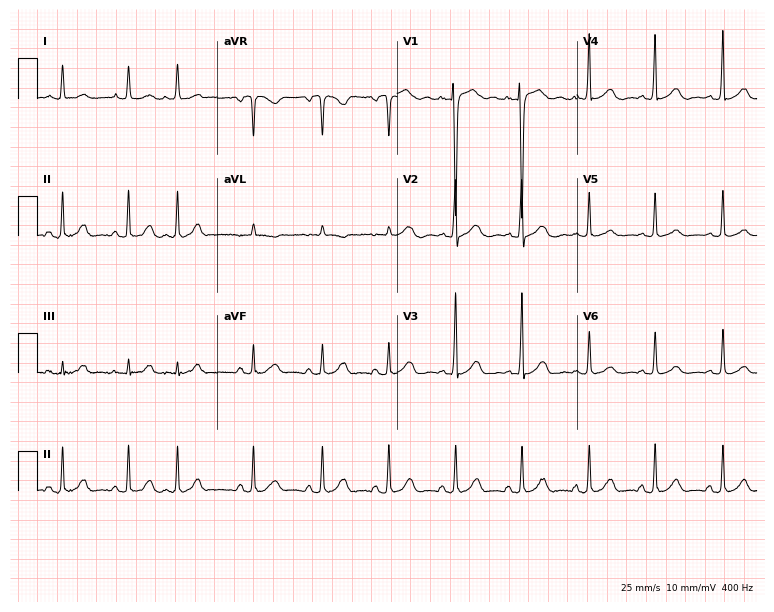
Resting 12-lead electrocardiogram. Patient: a female, 81 years old. None of these six findings is recorded: first-degree AV block, right bundle branch block, left bundle branch block, sinus bradycardia, atrial fibrillation, sinus tachycardia. Findings outside these six are not listed.